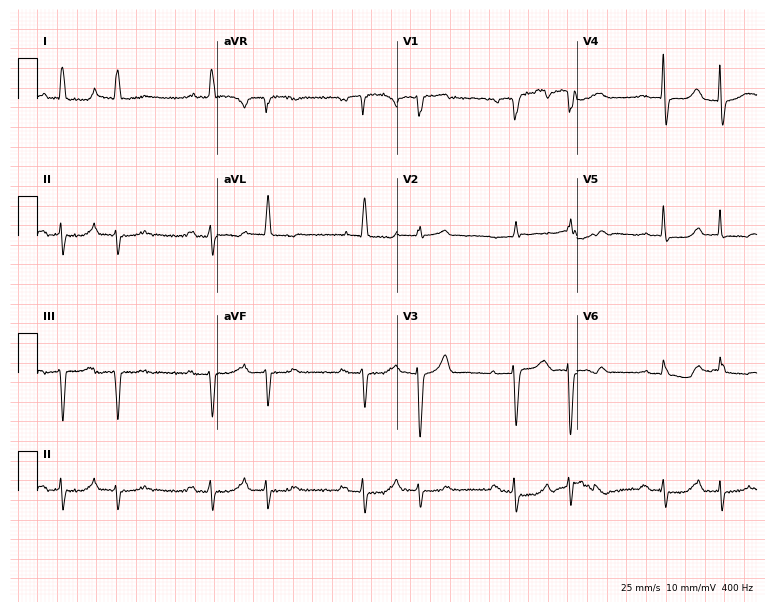
ECG (7.3-second recording at 400 Hz) — a woman, 79 years old. Findings include first-degree AV block.